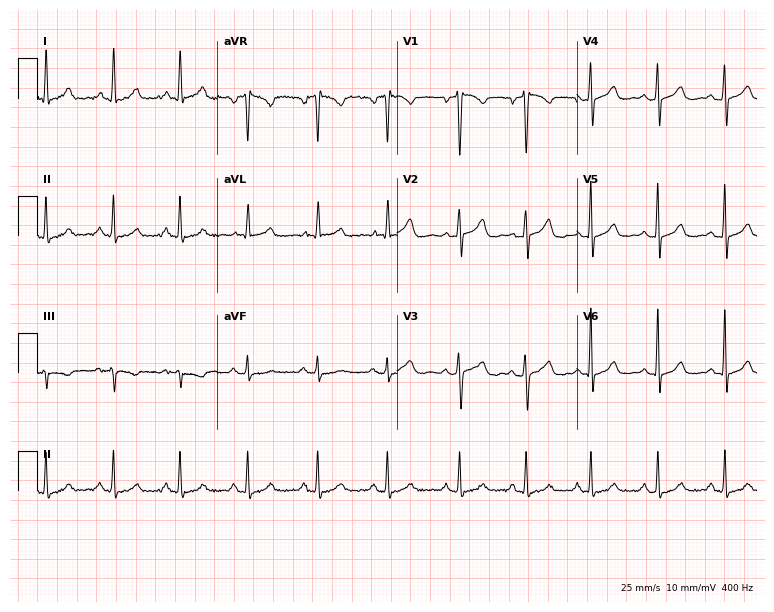
Electrocardiogram, a 42-year-old female patient. Overall reading on record: normal ECG.